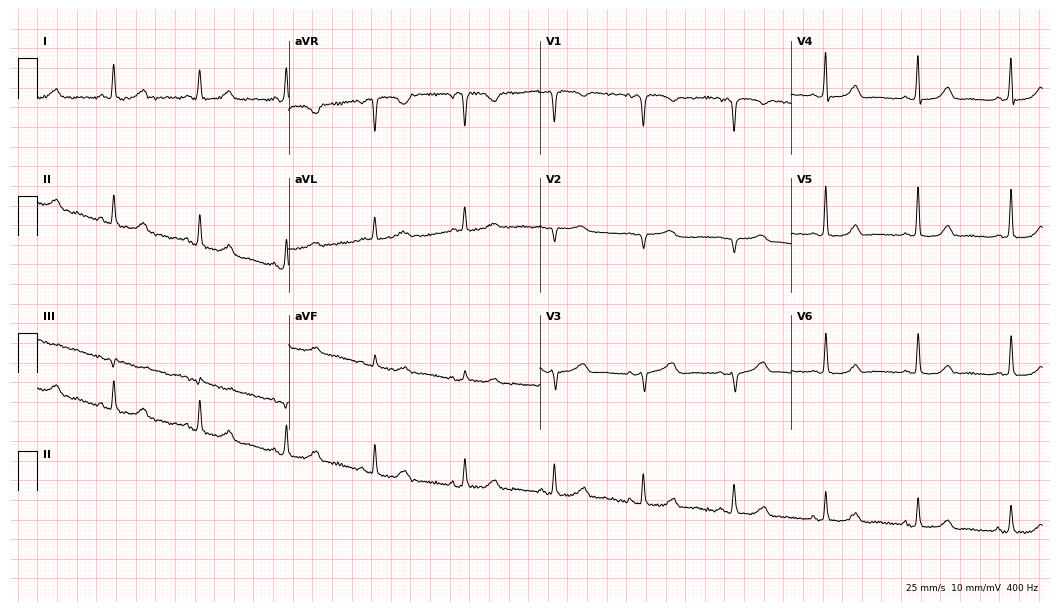
Resting 12-lead electrocardiogram (10.2-second recording at 400 Hz). Patient: a female, 60 years old. None of these six findings is recorded: first-degree AV block, right bundle branch block, left bundle branch block, sinus bradycardia, atrial fibrillation, sinus tachycardia. Other findings, if any, are not listed.